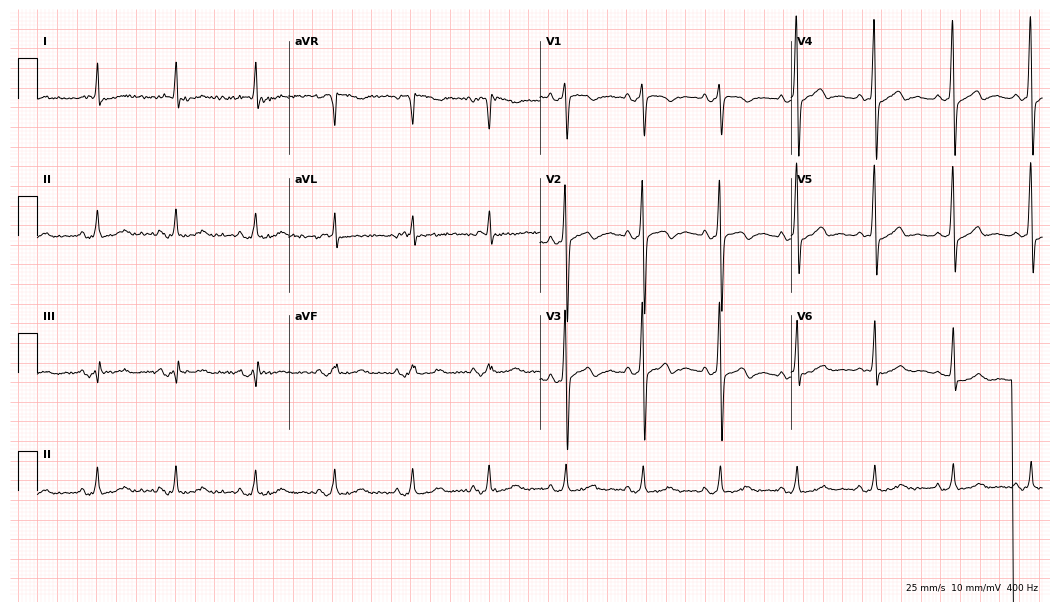
Electrocardiogram (10.2-second recording at 400 Hz), an 80-year-old woman. Of the six screened findings (first-degree AV block, right bundle branch block, left bundle branch block, sinus bradycardia, atrial fibrillation, sinus tachycardia), none is recorded. Findings outside these six are not listed.